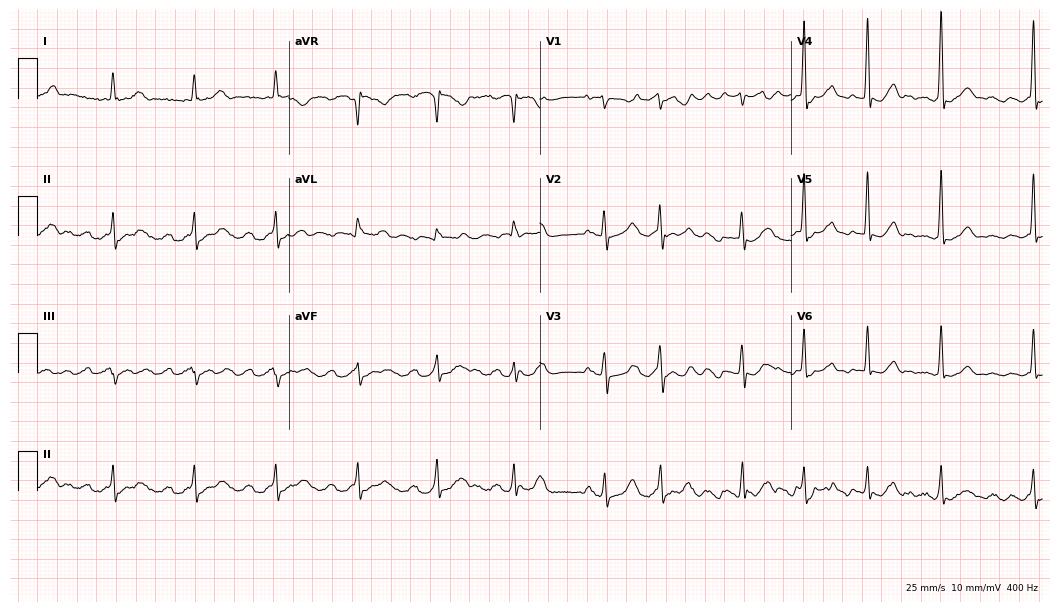
Standard 12-lead ECG recorded from a 72-year-old woman (10.2-second recording at 400 Hz). None of these six findings is recorded: first-degree AV block, right bundle branch block, left bundle branch block, sinus bradycardia, atrial fibrillation, sinus tachycardia. Only these six findings were labelled.